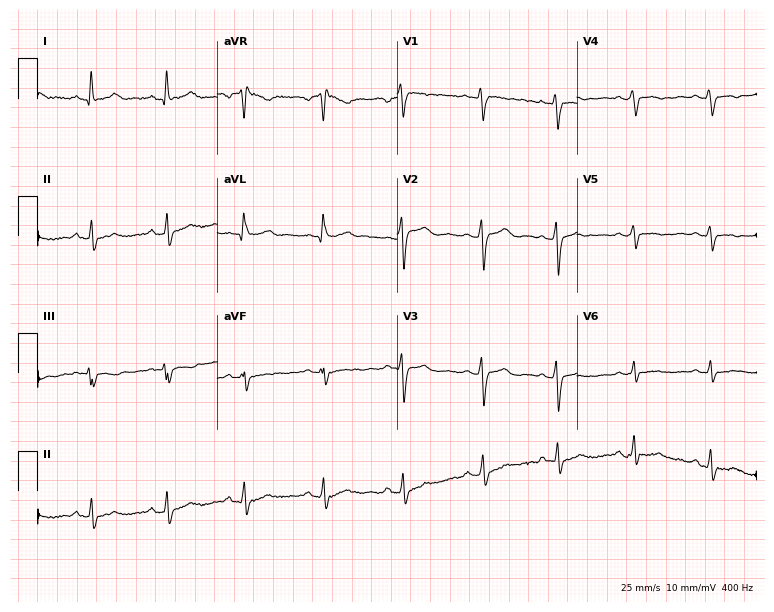
12-lead ECG from a 39-year-old female. Screened for six findings — first-degree AV block, right bundle branch block, left bundle branch block, sinus bradycardia, atrial fibrillation, sinus tachycardia — none is recorded.